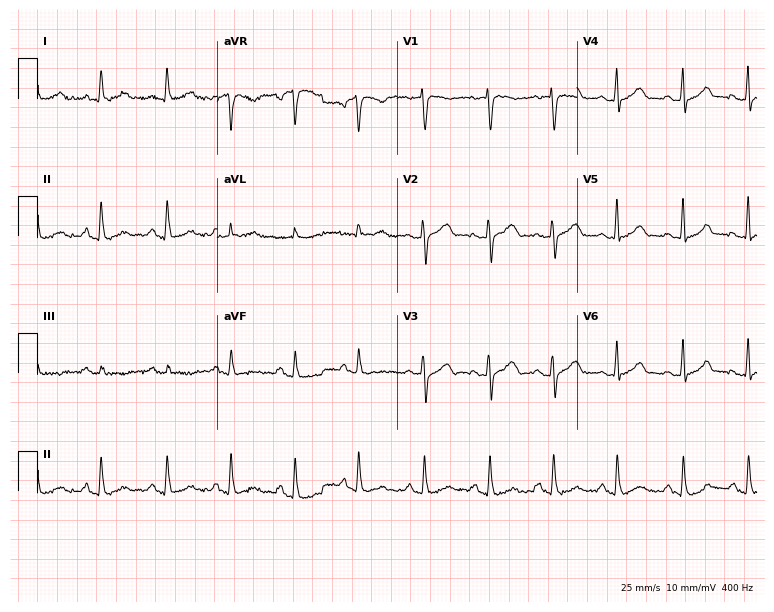
Resting 12-lead electrocardiogram (7.3-second recording at 400 Hz). Patient: a woman, 54 years old. Read as a normal ECG.